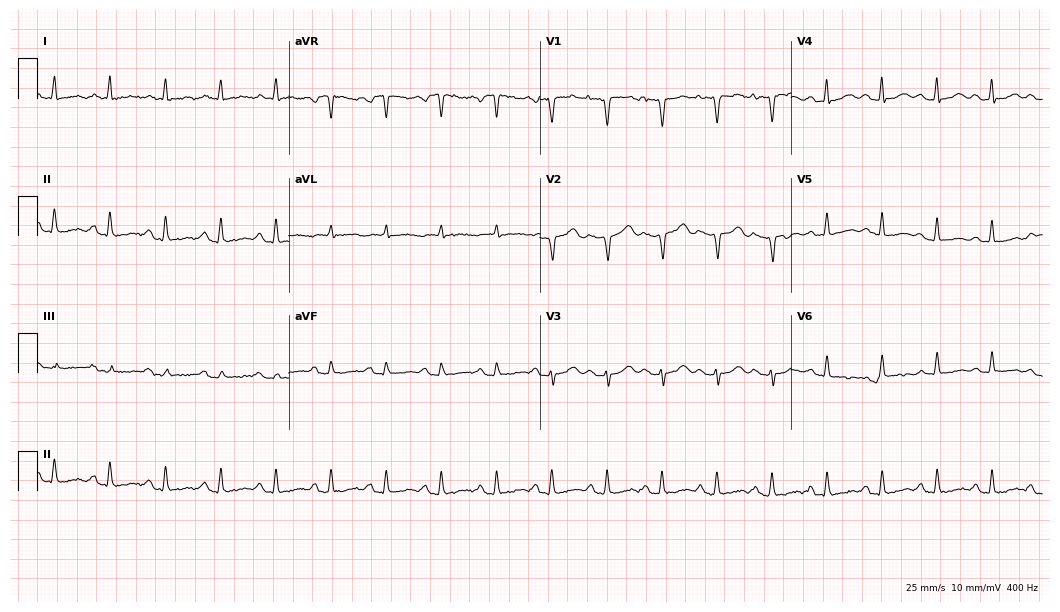
Standard 12-lead ECG recorded from a female patient, 59 years old. The tracing shows sinus tachycardia (a sinus rate of 100 beats per minute or more).